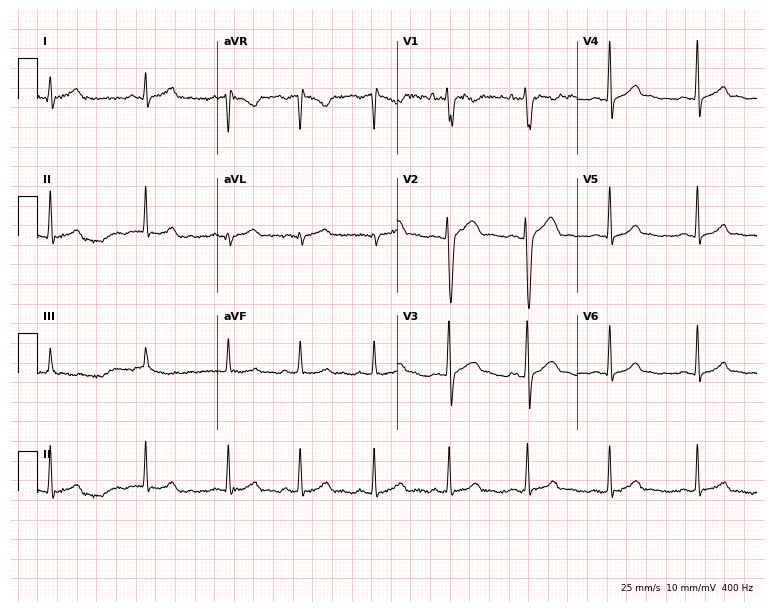
Resting 12-lead electrocardiogram (7.3-second recording at 400 Hz). Patient: a 19-year-old male. Read as a normal ECG.